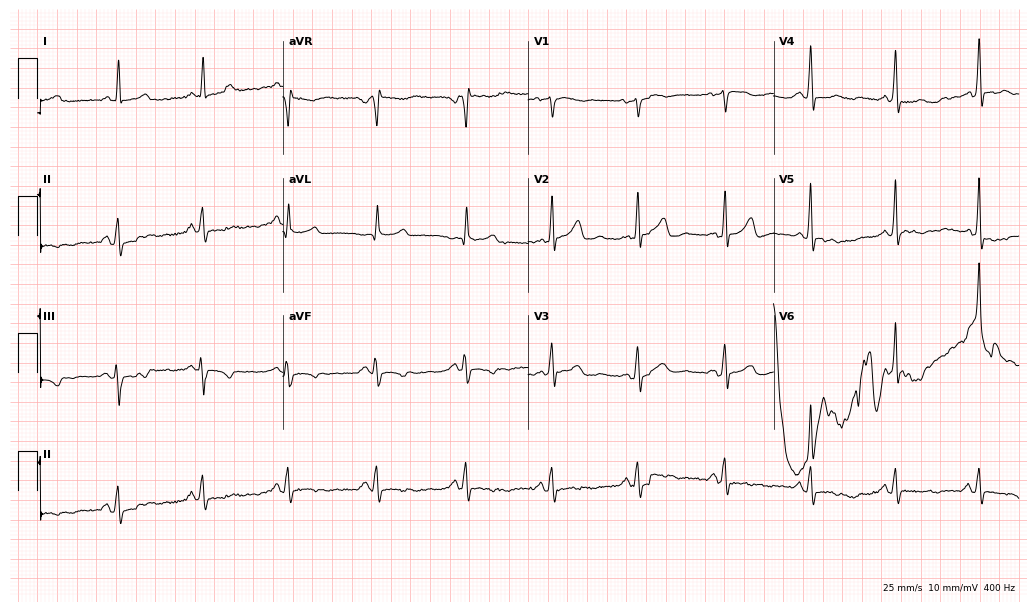
Electrocardiogram, a 66-year-old female. Of the six screened findings (first-degree AV block, right bundle branch block, left bundle branch block, sinus bradycardia, atrial fibrillation, sinus tachycardia), none is recorded. Only these six findings were labelled.